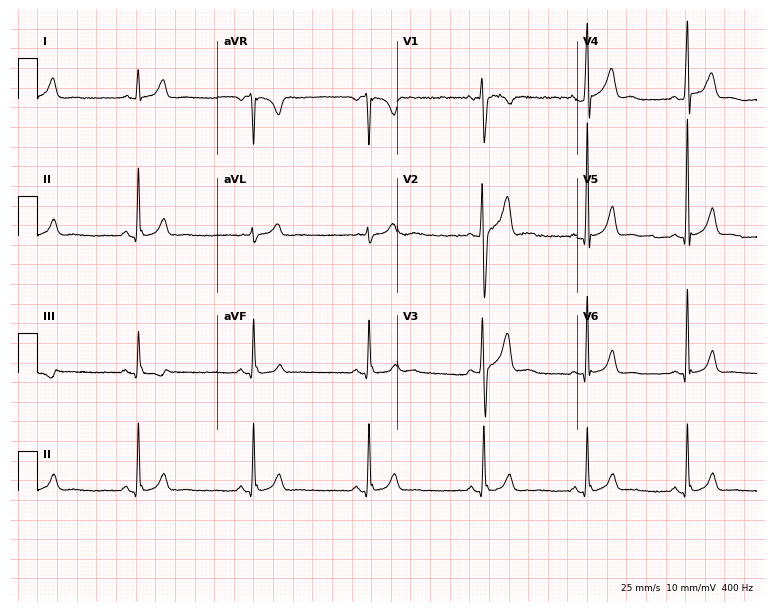
Electrocardiogram, a male patient, 19 years old. Of the six screened findings (first-degree AV block, right bundle branch block, left bundle branch block, sinus bradycardia, atrial fibrillation, sinus tachycardia), none is recorded. Only these six findings were labelled.